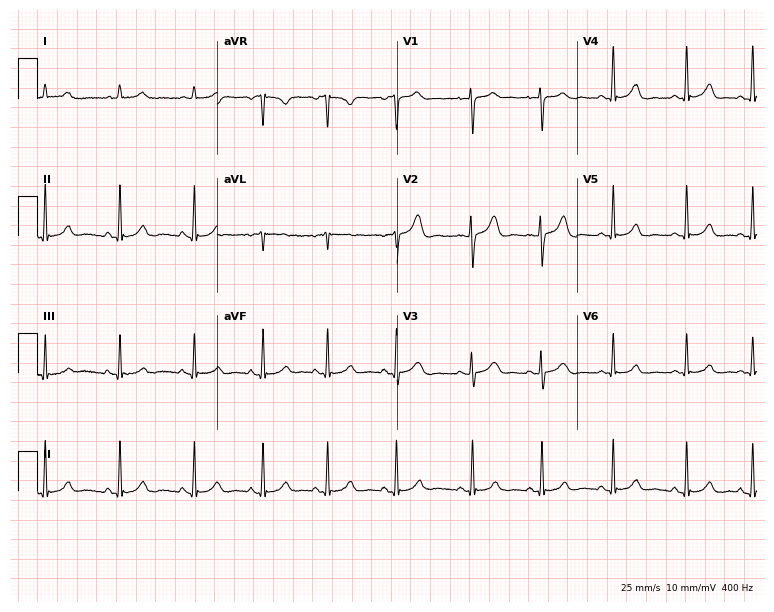
12-lead ECG from a woman, 18 years old. Recorded interpretation: within normal limits.